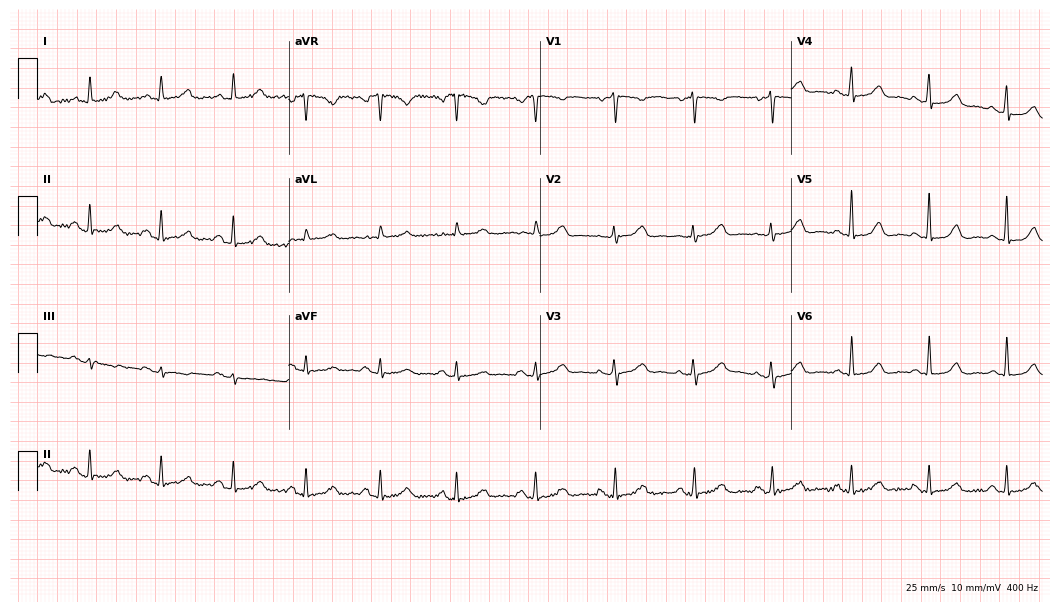
12-lead ECG from a 58-year-old female. Recorded interpretation: within normal limits.